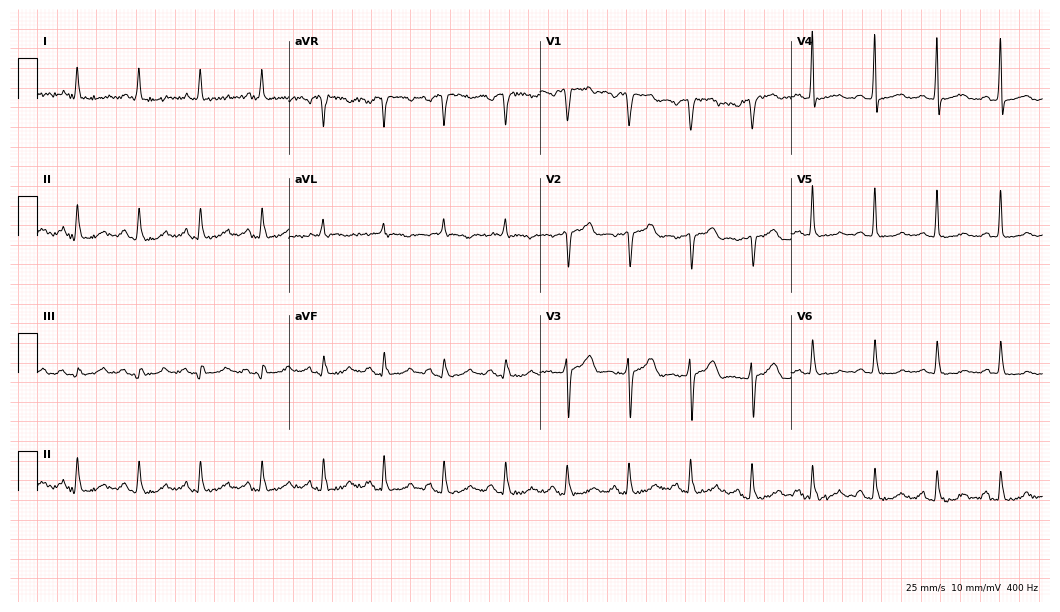
Standard 12-lead ECG recorded from a female patient, 61 years old. Read as a normal ECG.